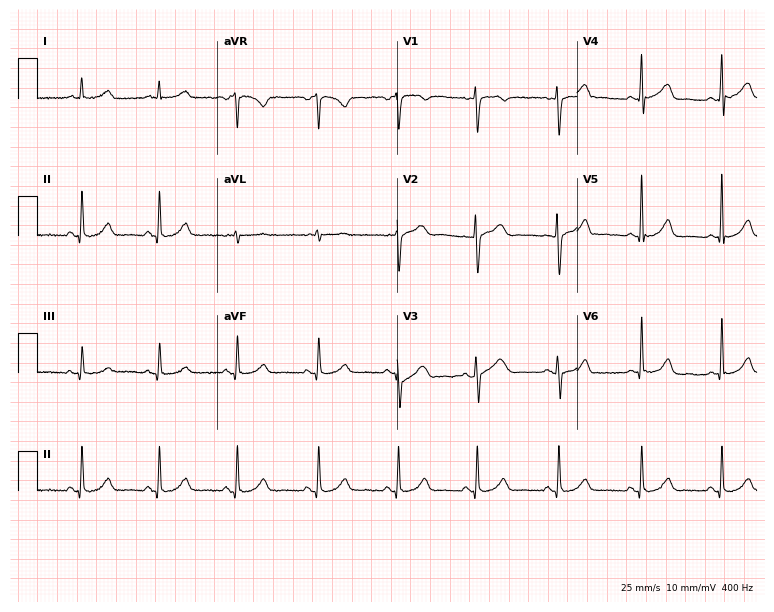
Electrocardiogram (7.3-second recording at 400 Hz), a 41-year-old woman. Overall reading on record: normal ECG.